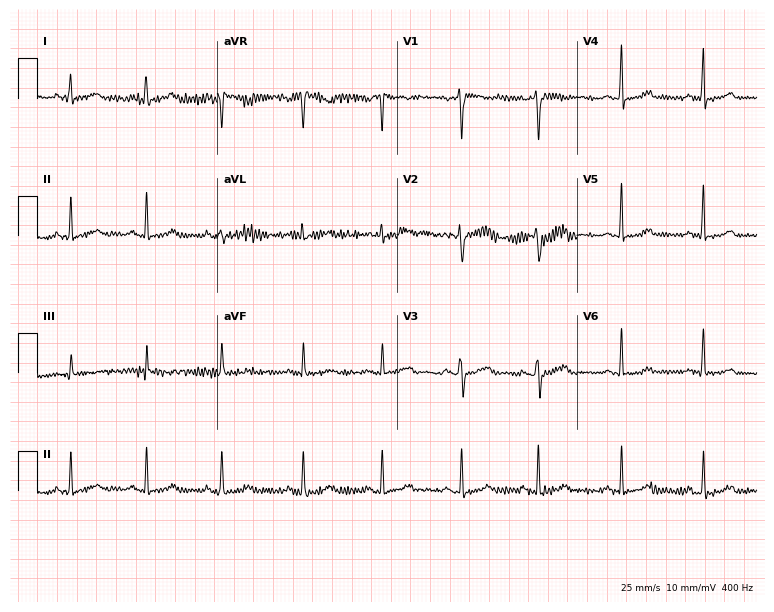
Standard 12-lead ECG recorded from a woman, 36 years old (7.3-second recording at 400 Hz). None of these six findings is recorded: first-degree AV block, right bundle branch block, left bundle branch block, sinus bradycardia, atrial fibrillation, sinus tachycardia. Other findings, if any, are not listed.